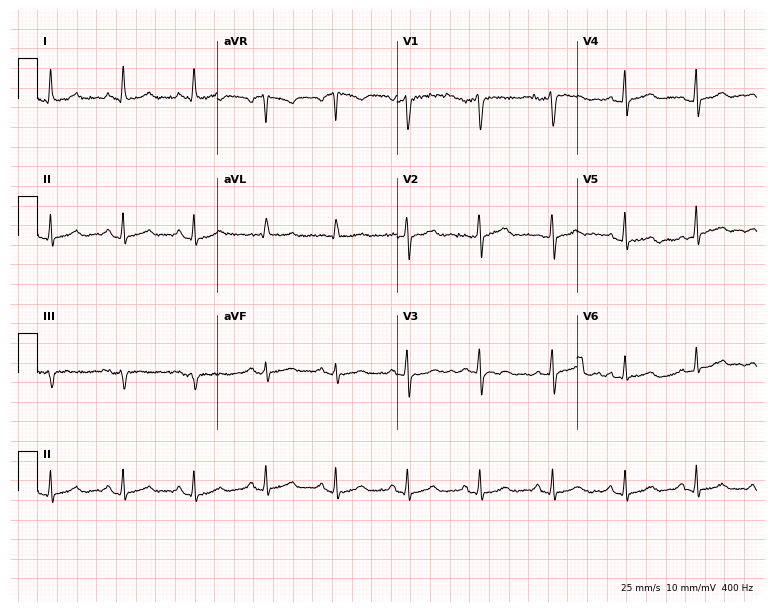
12-lead ECG from a male patient, 61 years old (7.3-second recording at 400 Hz). Recorded interpretation: within normal limits.